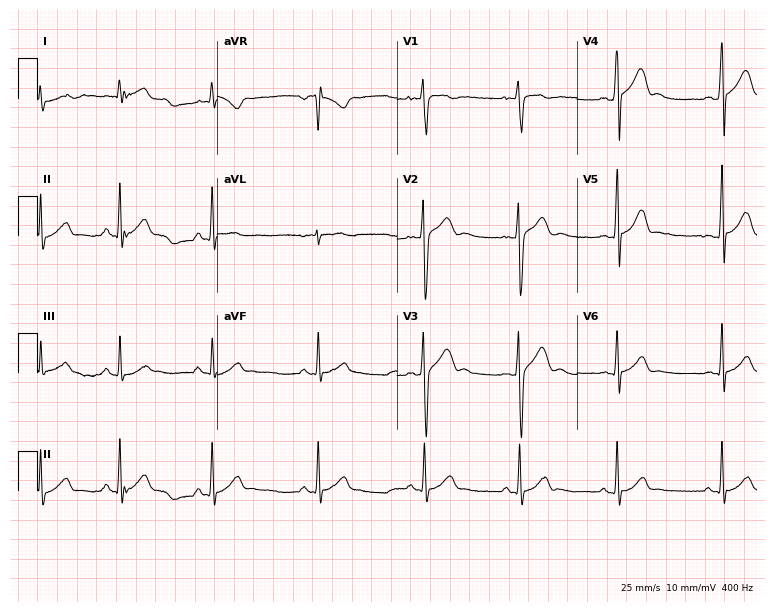
12-lead ECG (7.3-second recording at 400 Hz) from a male patient, 22 years old. Labelled as a normal ECG.